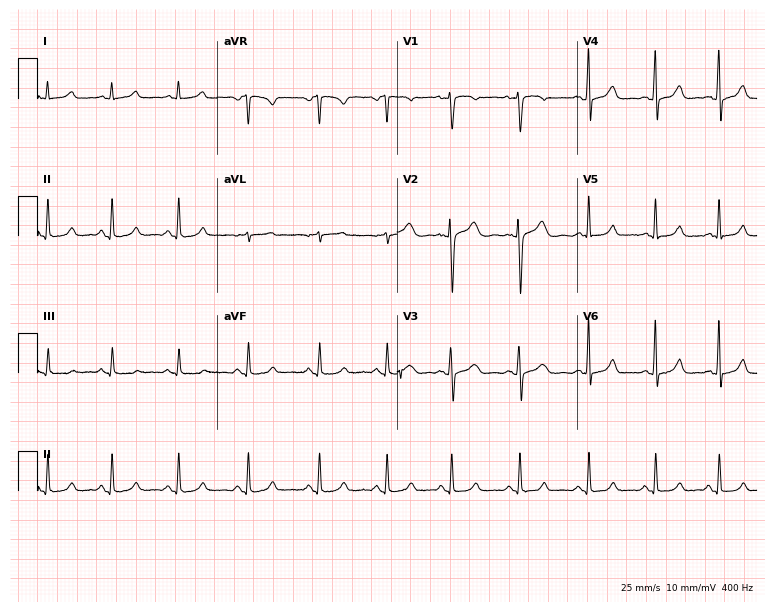
Resting 12-lead electrocardiogram. Patient: a 32-year-old female. Read as a normal ECG.